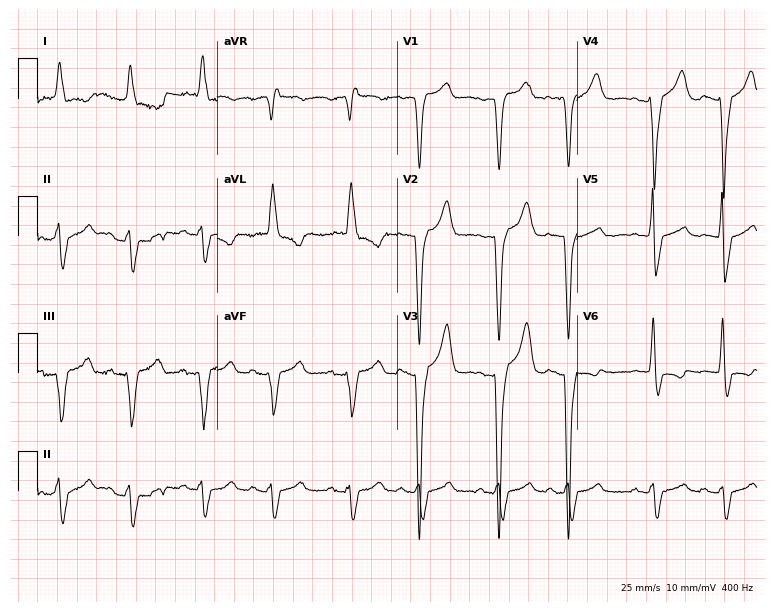
Standard 12-lead ECG recorded from an 80-year-old male (7.3-second recording at 400 Hz). The tracing shows left bundle branch block (LBBB).